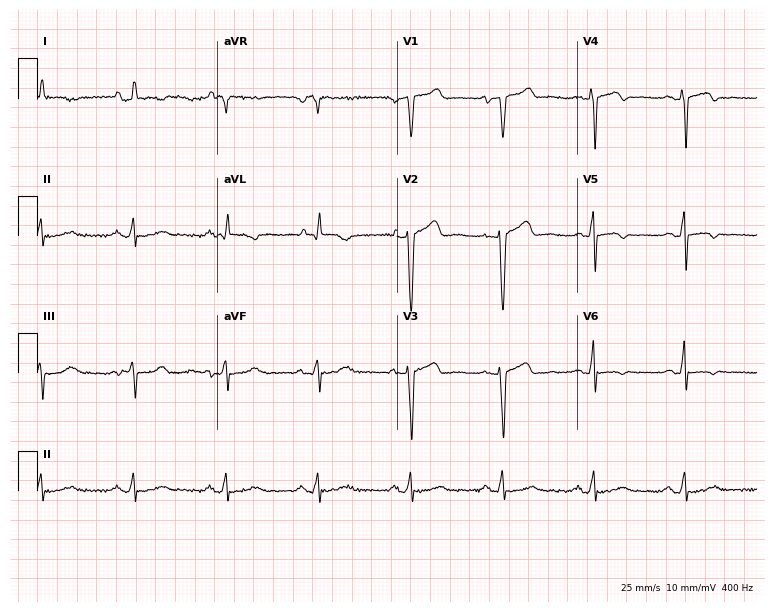
Resting 12-lead electrocardiogram (7.3-second recording at 400 Hz). Patient: a 48-year-old male. None of these six findings is recorded: first-degree AV block, right bundle branch block (RBBB), left bundle branch block (LBBB), sinus bradycardia, atrial fibrillation (AF), sinus tachycardia. Other findings, if any, are not listed.